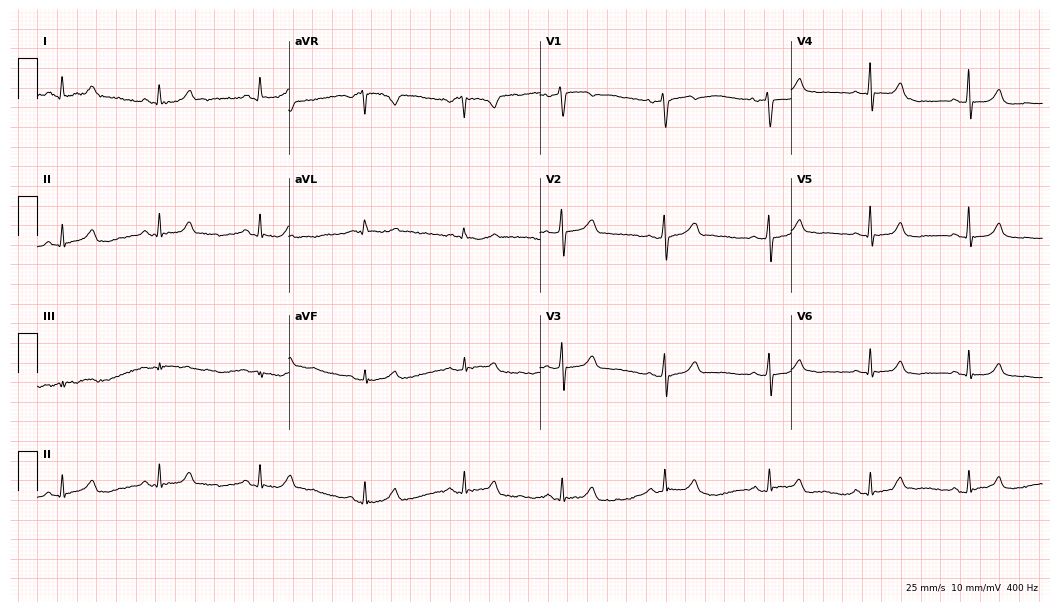
12-lead ECG (10.2-second recording at 400 Hz) from a 56-year-old woman. Labelled as a normal ECG.